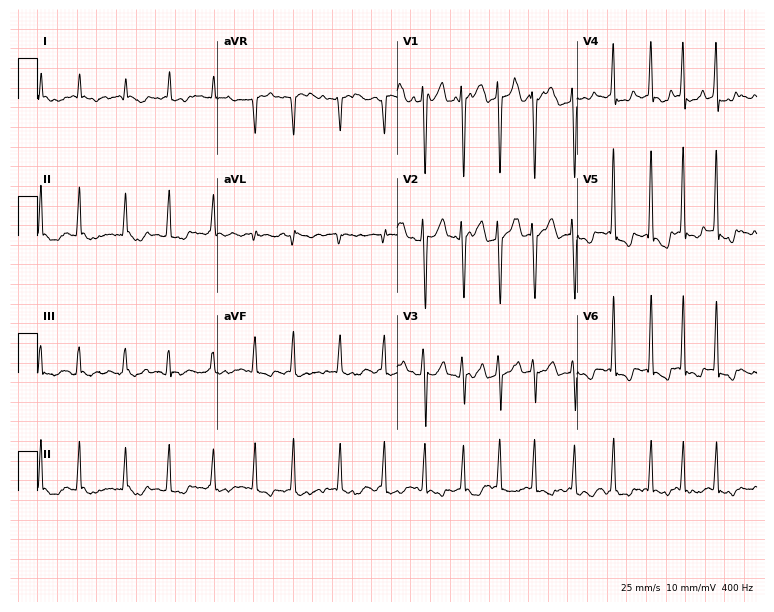
Electrocardiogram (7.3-second recording at 400 Hz), a male, 60 years old. Interpretation includes atrial fibrillation.